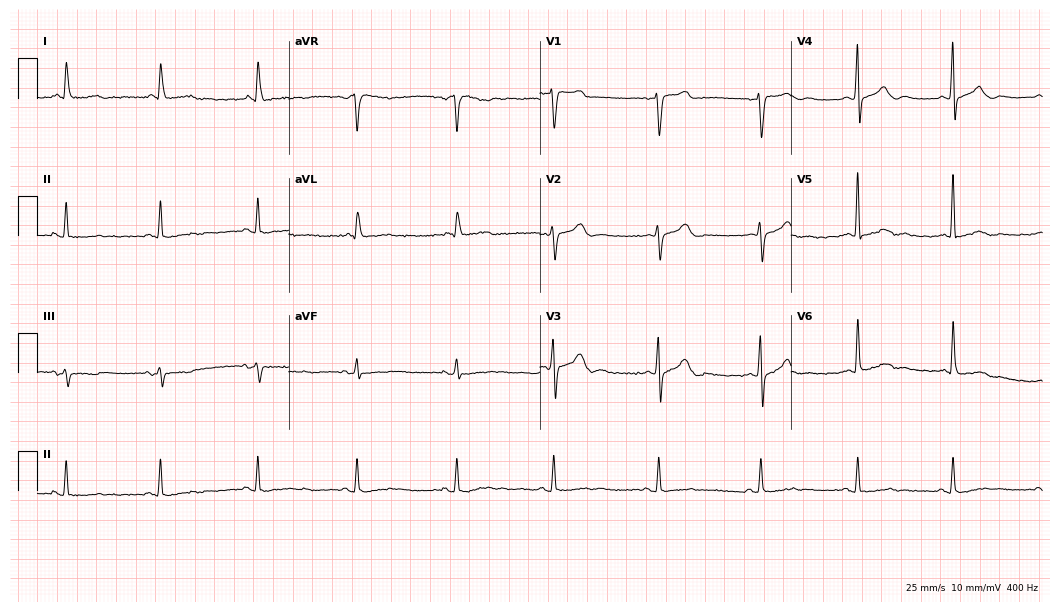
12-lead ECG (10.2-second recording at 400 Hz) from a male patient, 59 years old. Screened for six findings — first-degree AV block, right bundle branch block, left bundle branch block, sinus bradycardia, atrial fibrillation, sinus tachycardia — none is recorded.